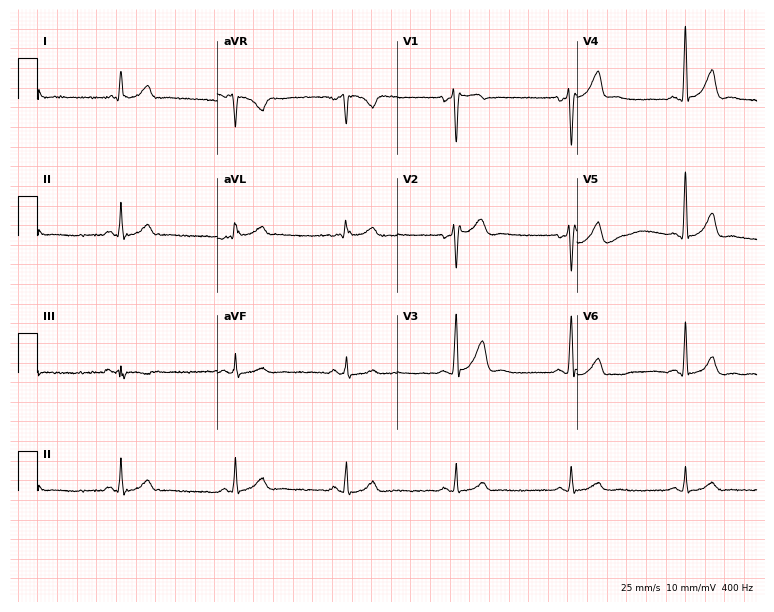
Electrocardiogram (7.3-second recording at 400 Hz), a man, 33 years old. Overall reading on record: normal ECG.